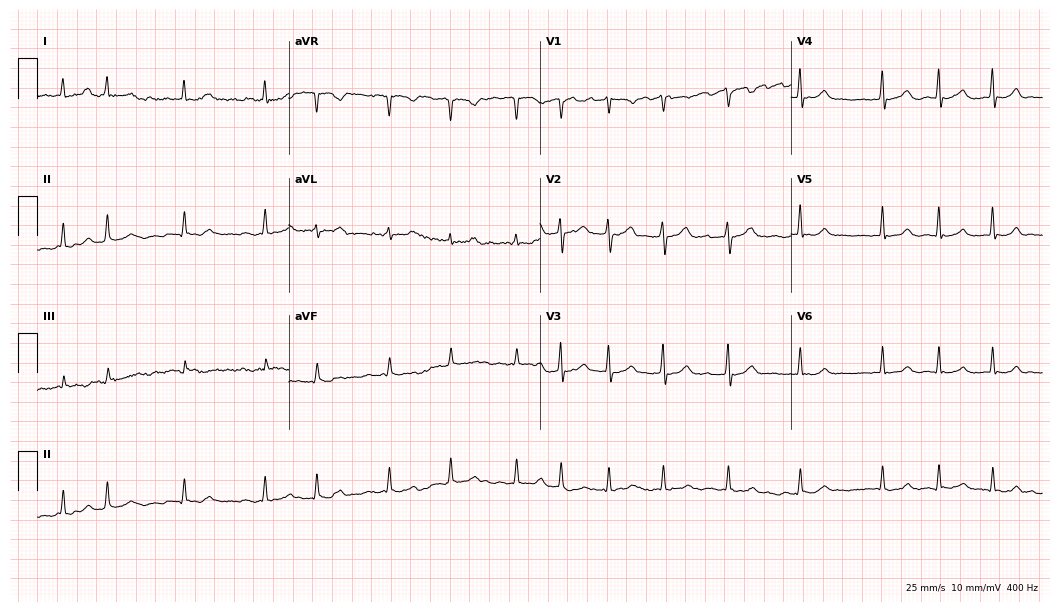
Resting 12-lead electrocardiogram (10.2-second recording at 400 Hz). Patient: a 58-year-old female. The tracing shows atrial fibrillation.